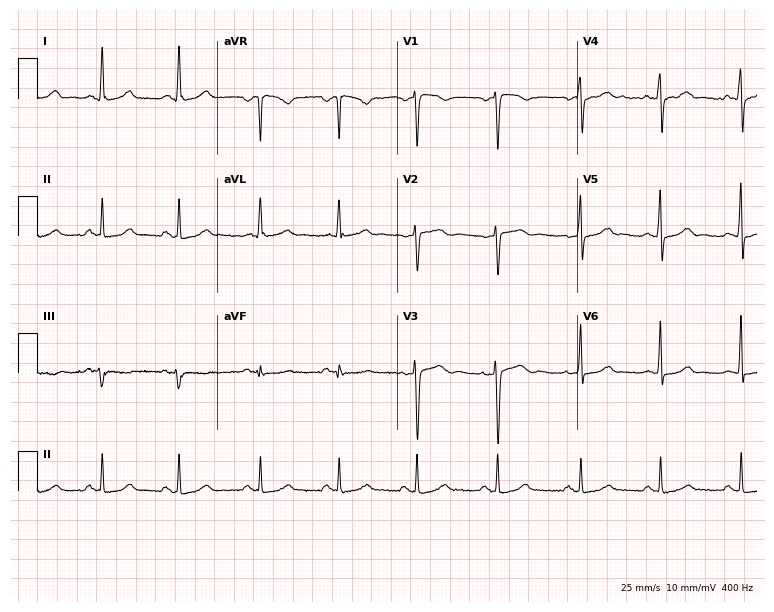
12-lead ECG from a 47-year-old female. Labelled as a normal ECG.